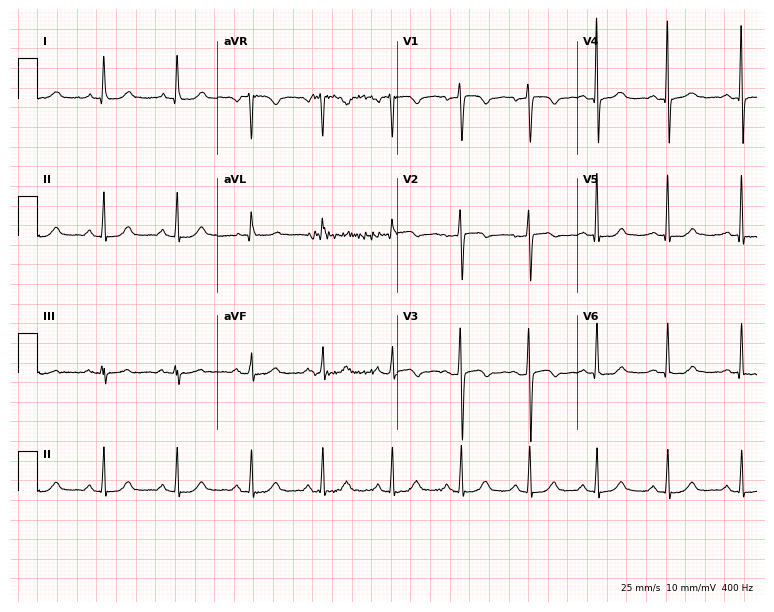
12-lead ECG (7.3-second recording at 400 Hz) from a 46-year-old female. Labelled as a normal ECG.